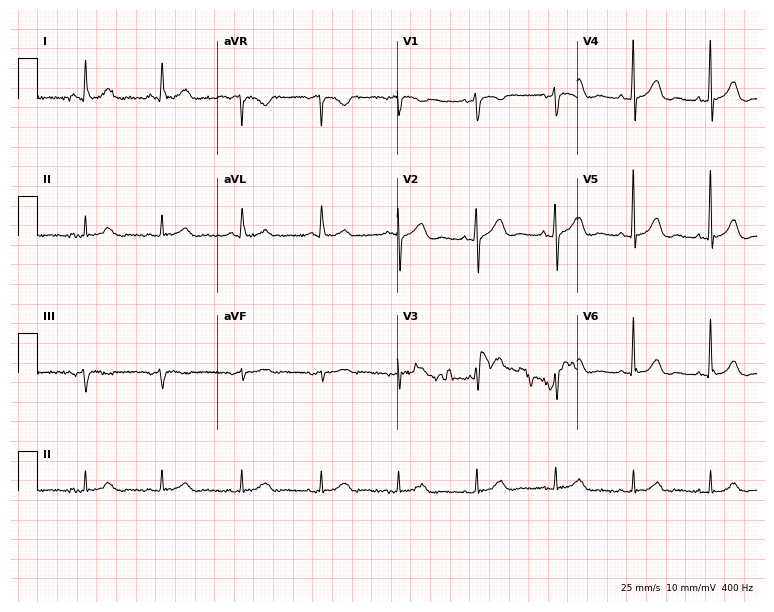
Resting 12-lead electrocardiogram (7.3-second recording at 400 Hz). Patient: an 80-year-old woman. Read as a normal ECG.